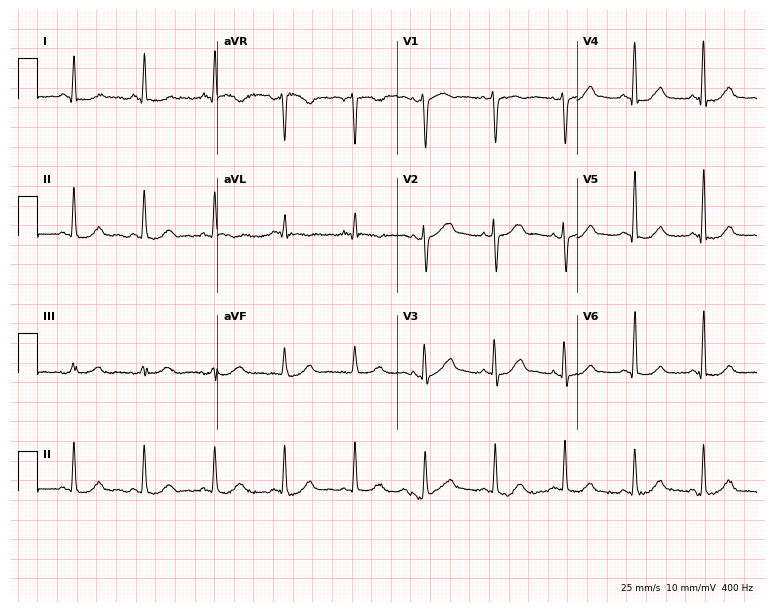
12-lead ECG from a woman, 68 years old. No first-degree AV block, right bundle branch block, left bundle branch block, sinus bradycardia, atrial fibrillation or sinus tachycardia recorded for this tracing.